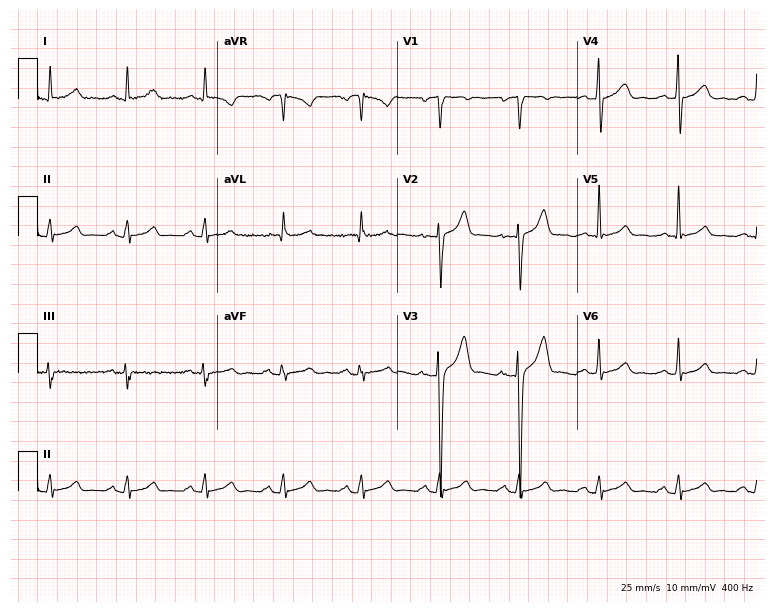
Resting 12-lead electrocardiogram (7.3-second recording at 400 Hz). Patient: a 31-year-old male. Read as a normal ECG.